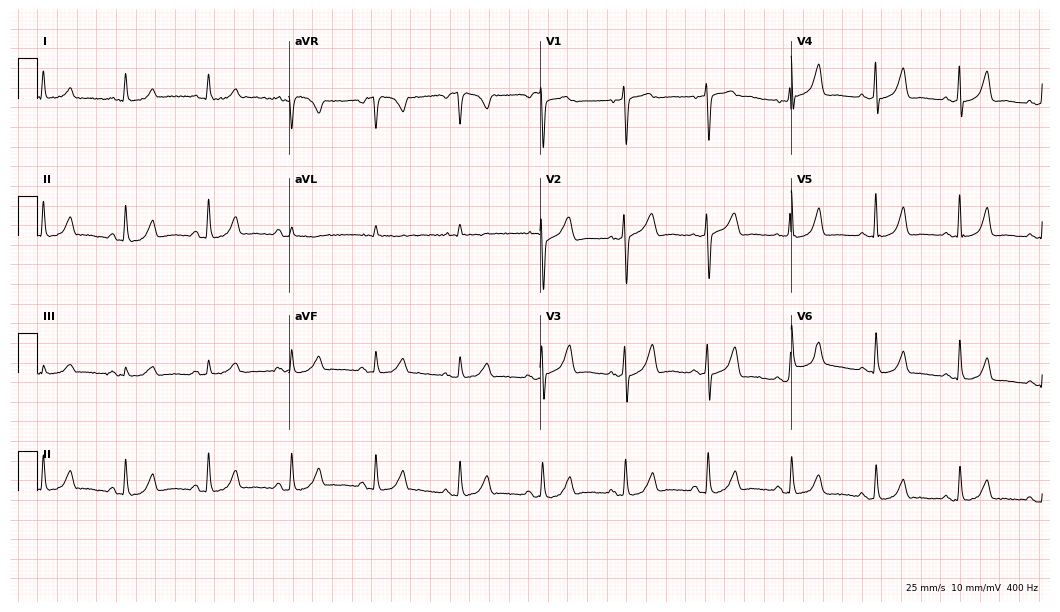
12-lead ECG from a 67-year-old female patient. Screened for six findings — first-degree AV block, right bundle branch block, left bundle branch block, sinus bradycardia, atrial fibrillation, sinus tachycardia — none is recorded. Only these six findings were labelled.